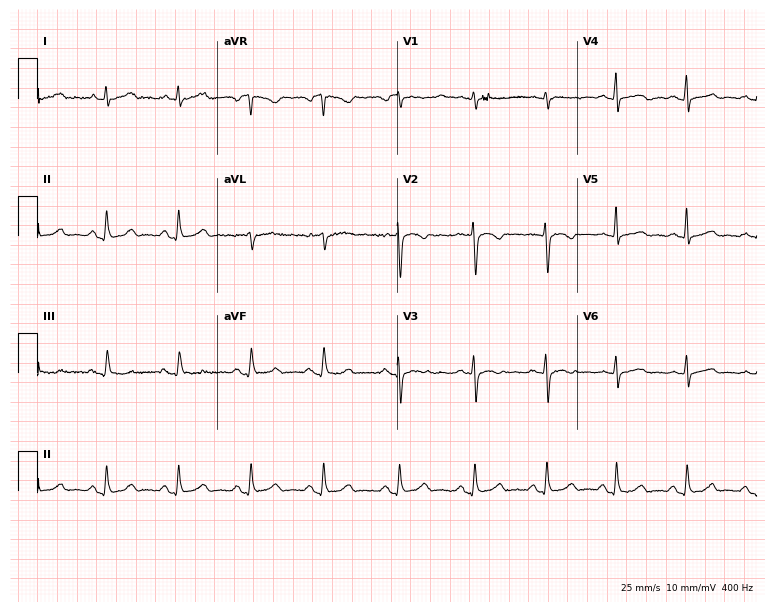
12-lead ECG from a 34-year-old female patient. Screened for six findings — first-degree AV block, right bundle branch block, left bundle branch block, sinus bradycardia, atrial fibrillation, sinus tachycardia — none is recorded.